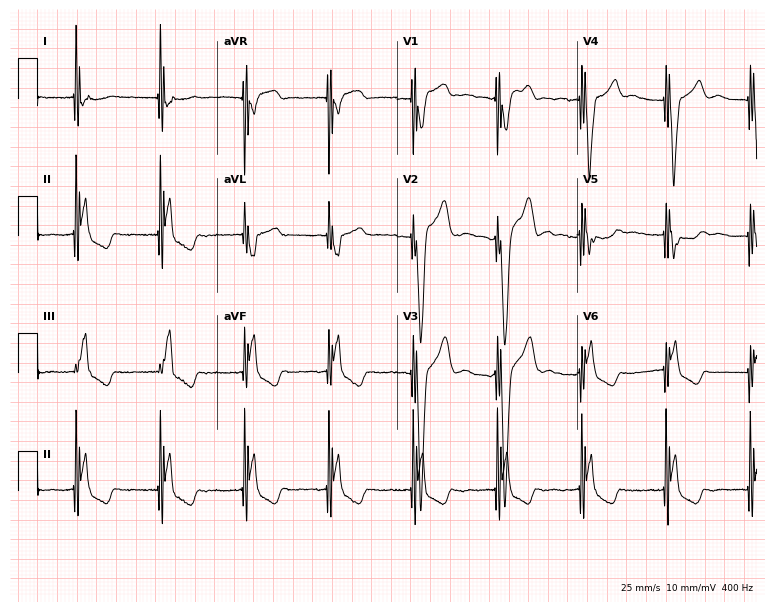
Standard 12-lead ECG recorded from a man, 76 years old (7.3-second recording at 400 Hz). None of these six findings is recorded: first-degree AV block, right bundle branch block, left bundle branch block, sinus bradycardia, atrial fibrillation, sinus tachycardia. Only these six findings were labelled.